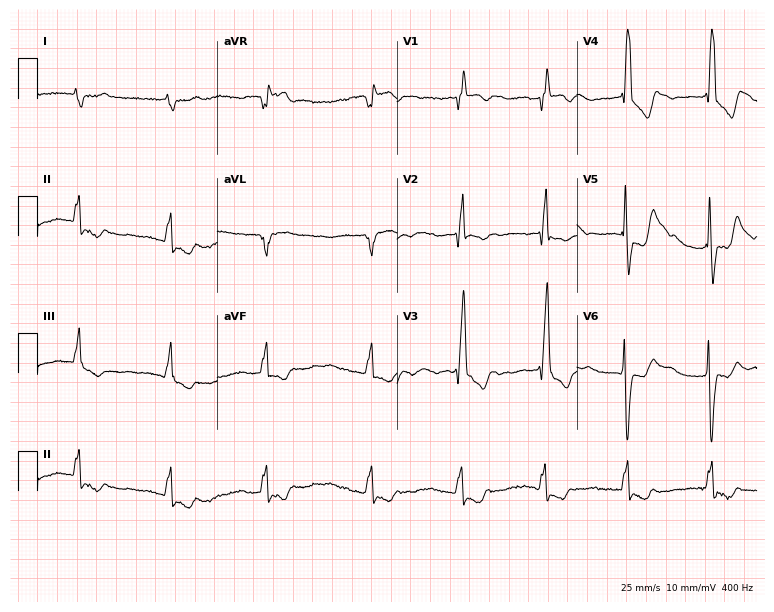
Standard 12-lead ECG recorded from a 69-year-old female. None of these six findings is recorded: first-degree AV block, right bundle branch block (RBBB), left bundle branch block (LBBB), sinus bradycardia, atrial fibrillation (AF), sinus tachycardia. Other findings, if any, are not listed.